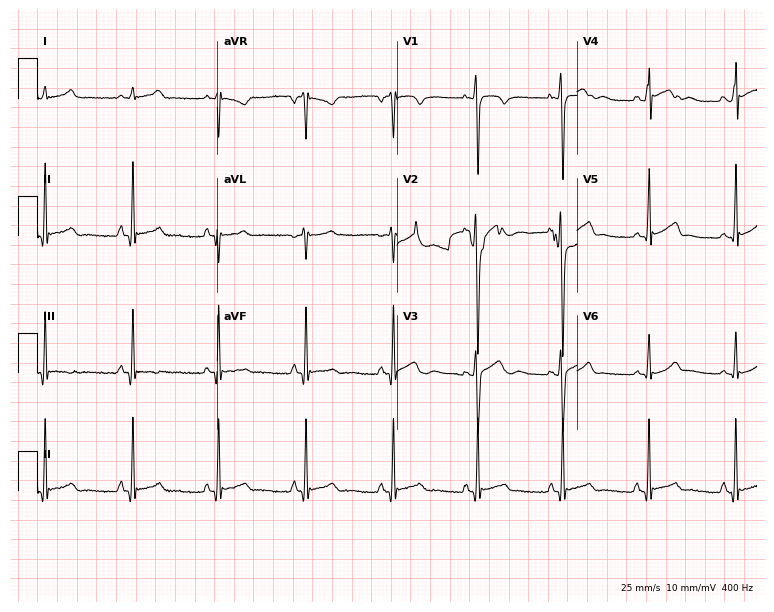
Standard 12-lead ECG recorded from a 17-year-old male. None of these six findings is recorded: first-degree AV block, right bundle branch block, left bundle branch block, sinus bradycardia, atrial fibrillation, sinus tachycardia.